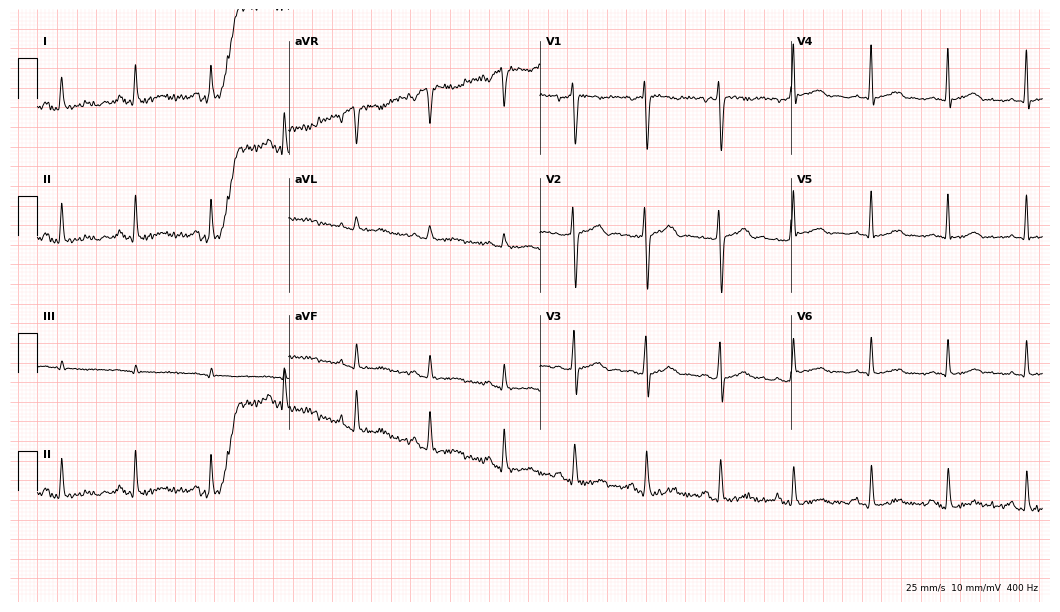
Electrocardiogram, a woman, 33 years old. Of the six screened findings (first-degree AV block, right bundle branch block, left bundle branch block, sinus bradycardia, atrial fibrillation, sinus tachycardia), none is recorded. Only these six findings were labelled.